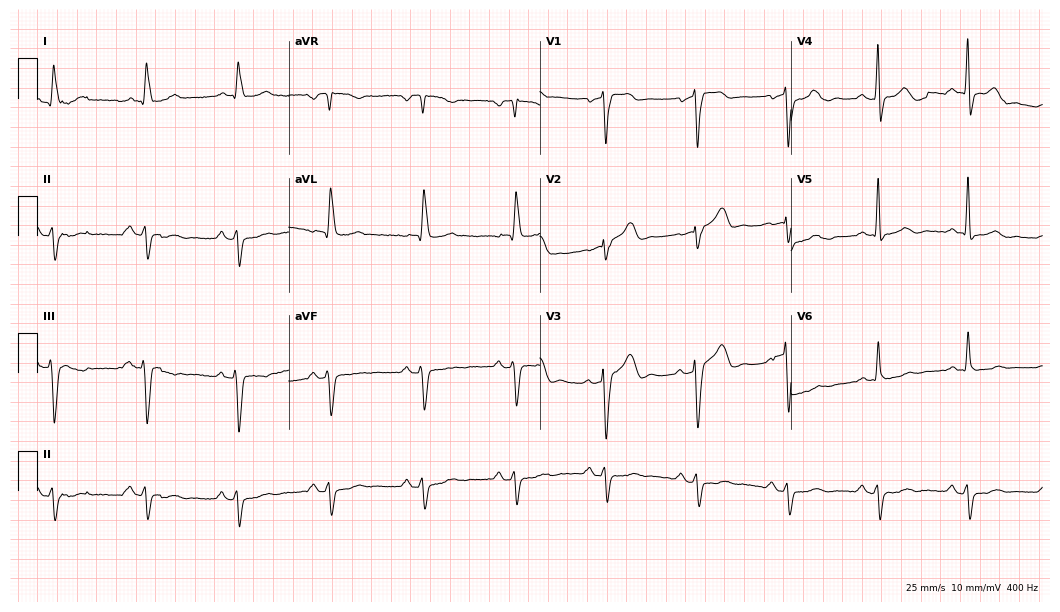
Resting 12-lead electrocardiogram. Patient: a man, 69 years old. None of these six findings is recorded: first-degree AV block, right bundle branch block, left bundle branch block, sinus bradycardia, atrial fibrillation, sinus tachycardia. Only these six findings were labelled.